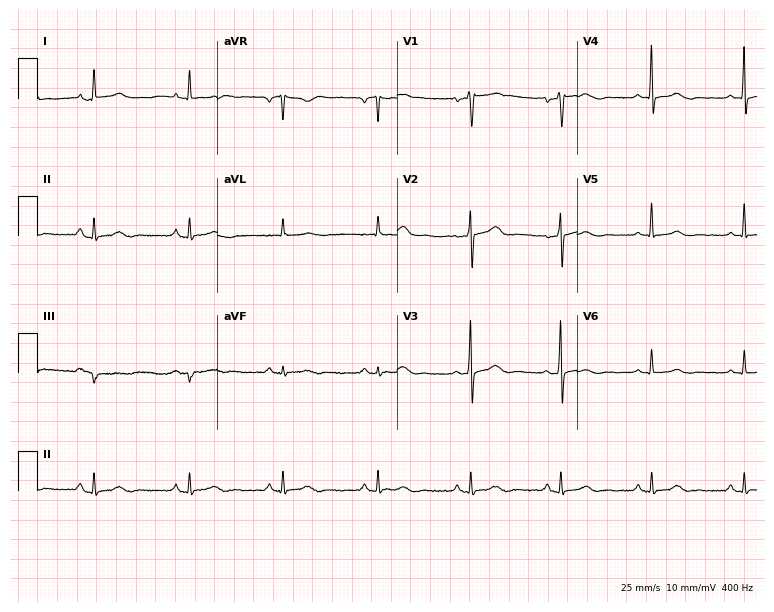
Resting 12-lead electrocardiogram. Patient: a 61-year-old male. None of these six findings is recorded: first-degree AV block, right bundle branch block (RBBB), left bundle branch block (LBBB), sinus bradycardia, atrial fibrillation (AF), sinus tachycardia.